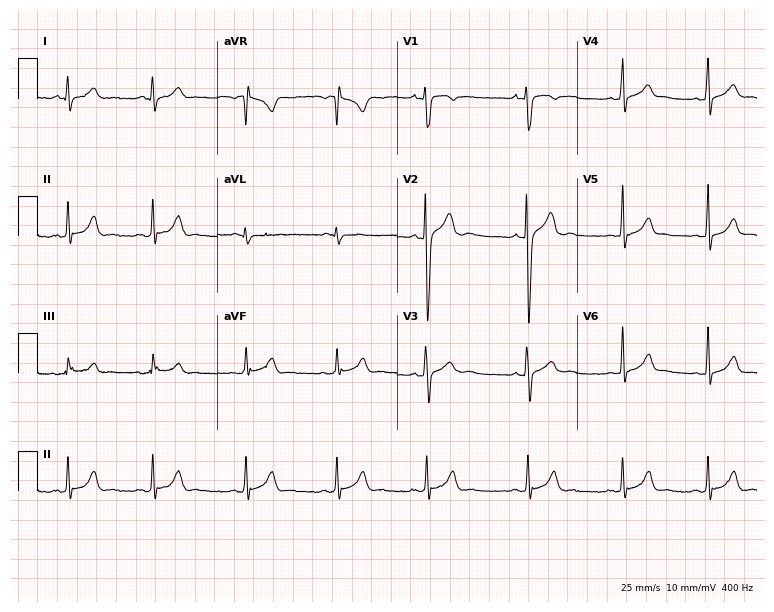
Electrocardiogram (7.3-second recording at 400 Hz), a 17-year-old man. Overall reading on record: normal ECG.